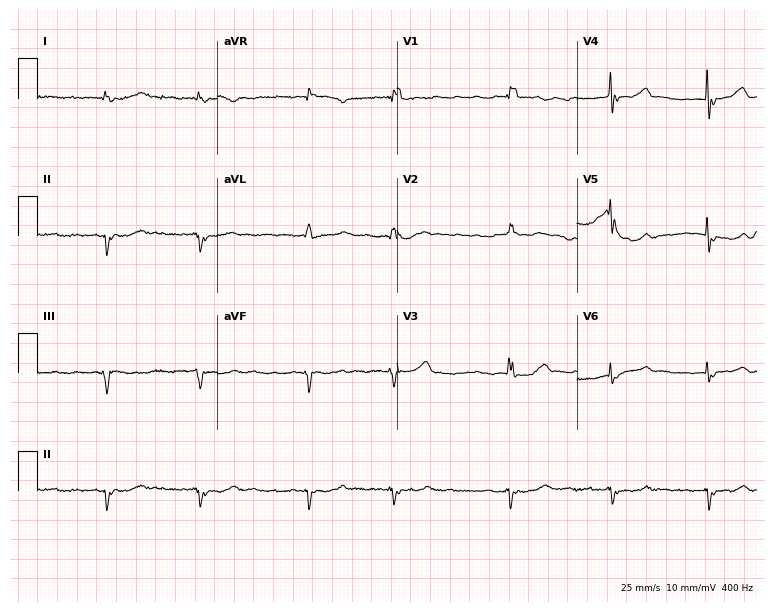
Electrocardiogram (7.3-second recording at 400 Hz), a female, 82 years old. Of the six screened findings (first-degree AV block, right bundle branch block (RBBB), left bundle branch block (LBBB), sinus bradycardia, atrial fibrillation (AF), sinus tachycardia), none is recorded.